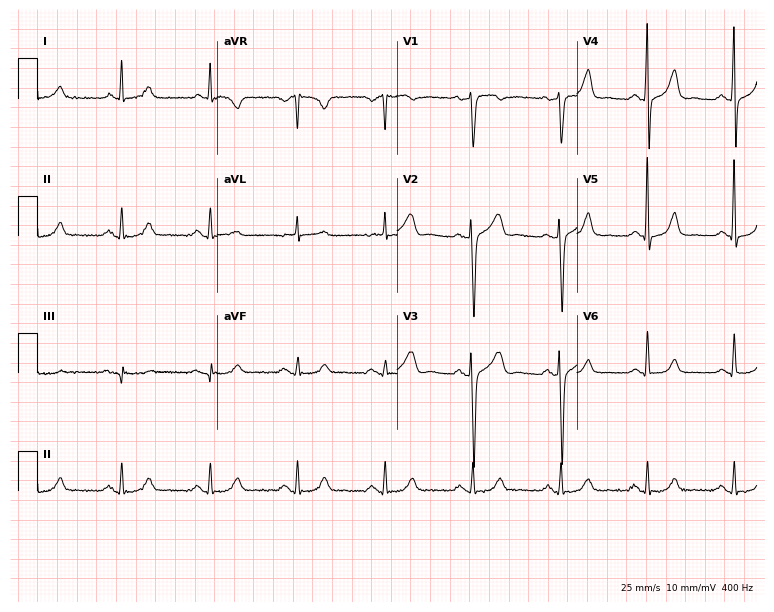
Electrocardiogram (7.3-second recording at 400 Hz), a 61-year-old male patient. Of the six screened findings (first-degree AV block, right bundle branch block (RBBB), left bundle branch block (LBBB), sinus bradycardia, atrial fibrillation (AF), sinus tachycardia), none is recorded. Findings outside these six are not listed.